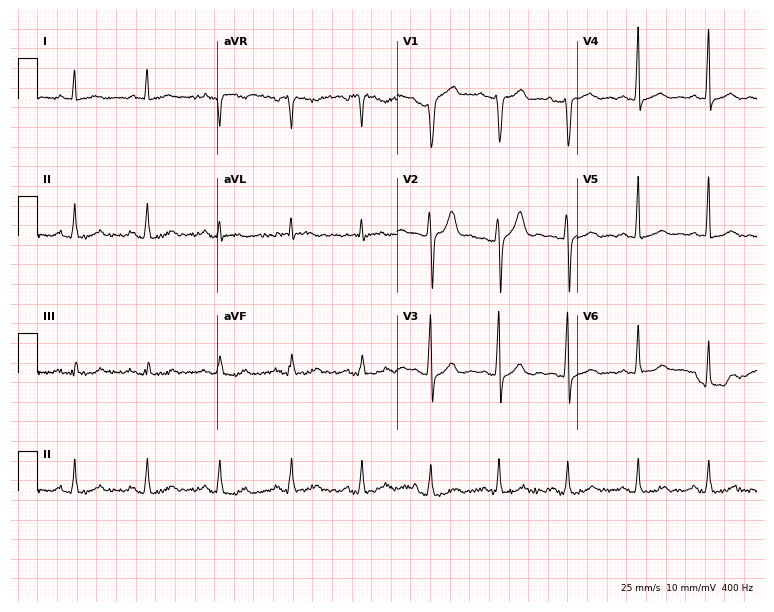
Standard 12-lead ECG recorded from a 55-year-old male (7.3-second recording at 400 Hz). None of these six findings is recorded: first-degree AV block, right bundle branch block, left bundle branch block, sinus bradycardia, atrial fibrillation, sinus tachycardia. Other findings, if any, are not listed.